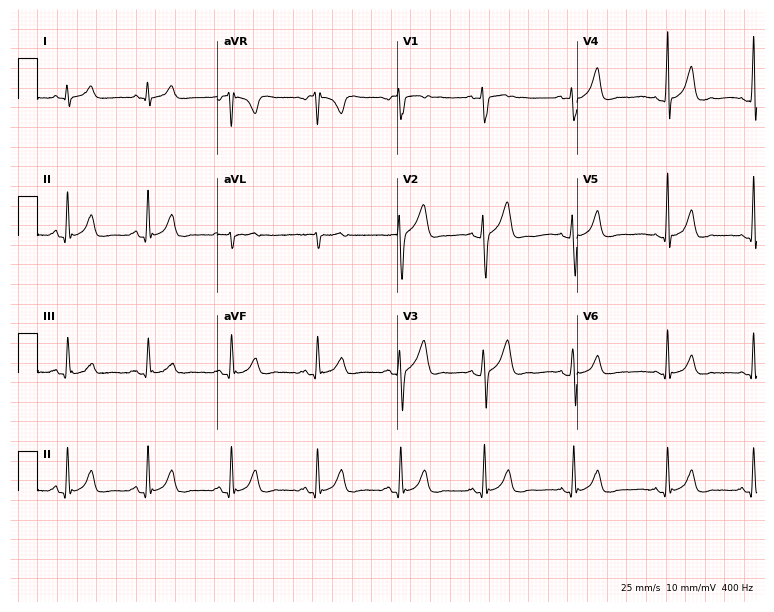
Standard 12-lead ECG recorded from a 23-year-old male. Read as a normal ECG.